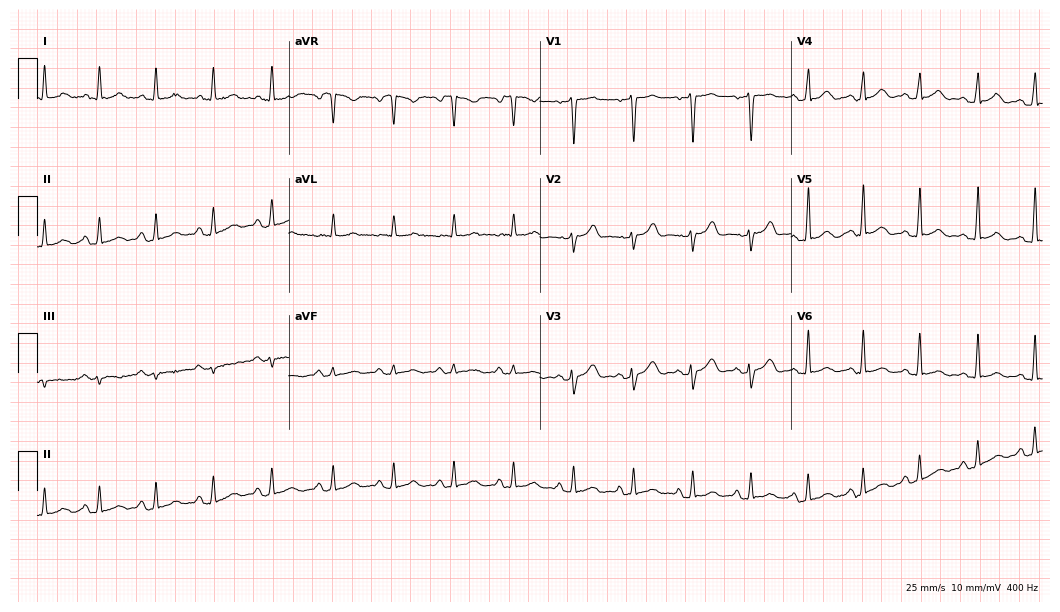
Standard 12-lead ECG recorded from a female patient, 42 years old. Read as a normal ECG.